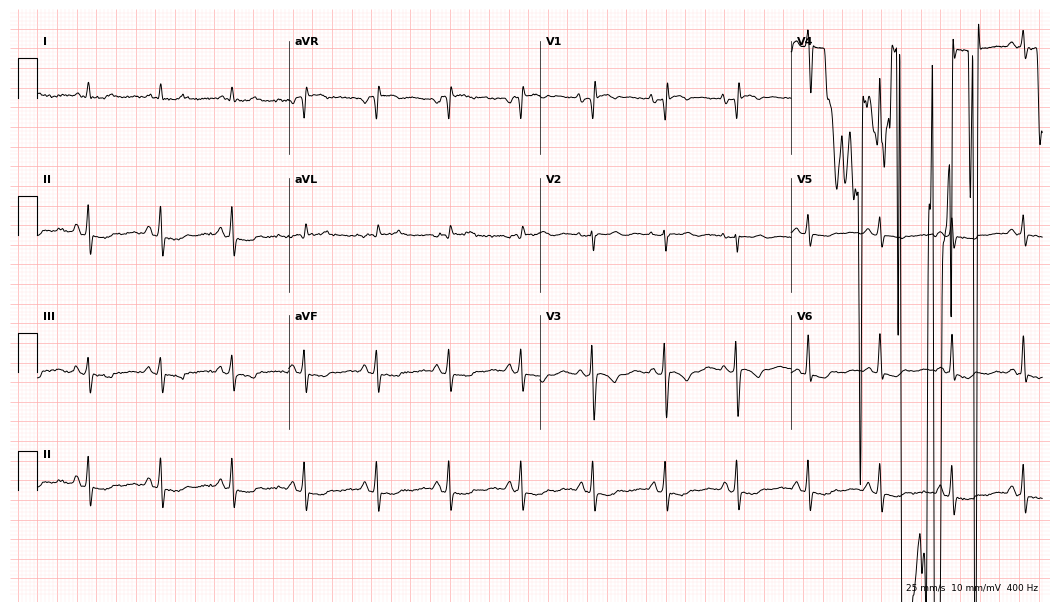
Standard 12-lead ECG recorded from a woman, 79 years old. None of these six findings is recorded: first-degree AV block, right bundle branch block, left bundle branch block, sinus bradycardia, atrial fibrillation, sinus tachycardia. Other findings, if any, are not listed.